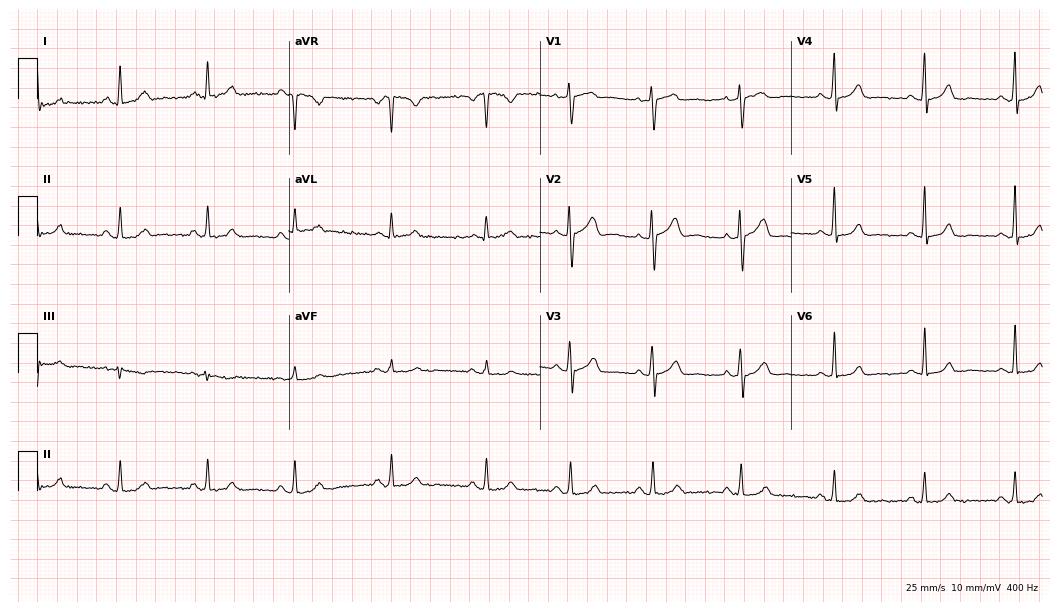
12-lead ECG from a female patient, 30 years old (10.2-second recording at 400 Hz). No first-degree AV block, right bundle branch block (RBBB), left bundle branch block (LBBB), sinus bradycardia, atrial fibrillation (AF) or sinus tachycardia recorded for this tracing. Other findings, if any, are not listed.